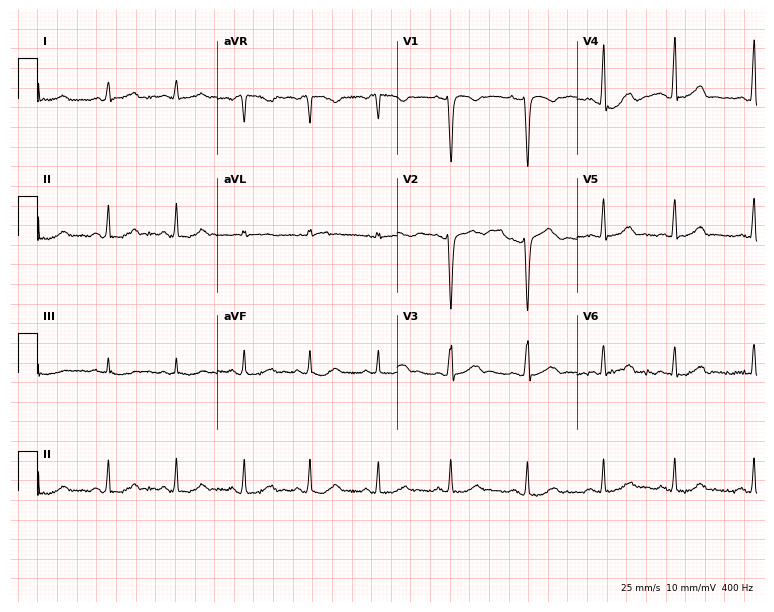
ECG (7.3-second recording at 400 Hz) — a 22-year-old woman. Labelled as a normal ECG.